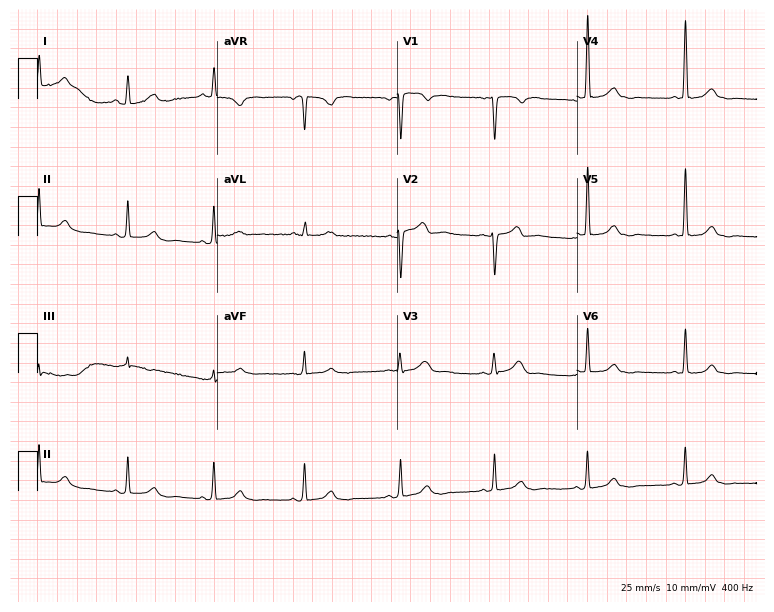
12-lead ECG (7.3-second recording at 400 Hz) from a 48-year-old woman. Screened for six findings — first-degree AV block, right bundle branch block, left bundle branch block, sinus bradycardia, atrial fibrillation, sinus tachycardia — none is recorded.